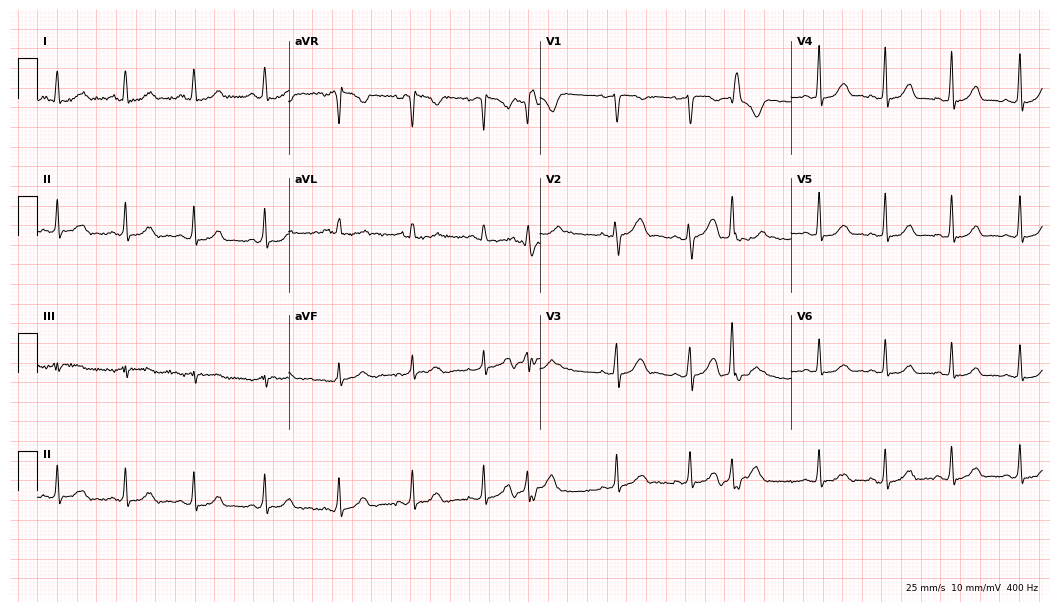
12-lead ECG from a female, 19 years old. No first-degree AV block, right bundle branch block, left bundle branch block, sinus bradycardia, atrial fibrillation or sinus tachycardia recorded for this tracing.